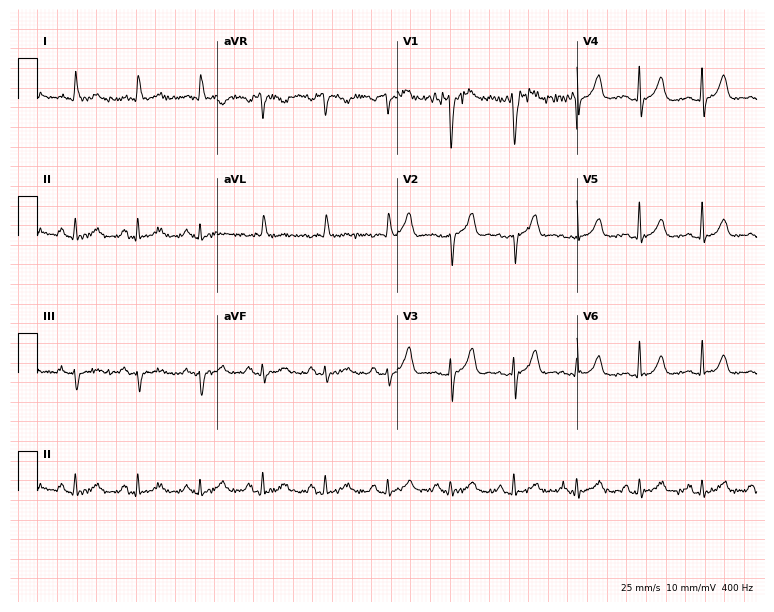
12-lead ECG from a man, 74 years old. No first-degree AV block, right bundle branch block (RBBB), left bundle branch block (LBBB), sinus bradycardia, atrial fibrillation (AF) or sinus tachycardia recorded for this tracing.